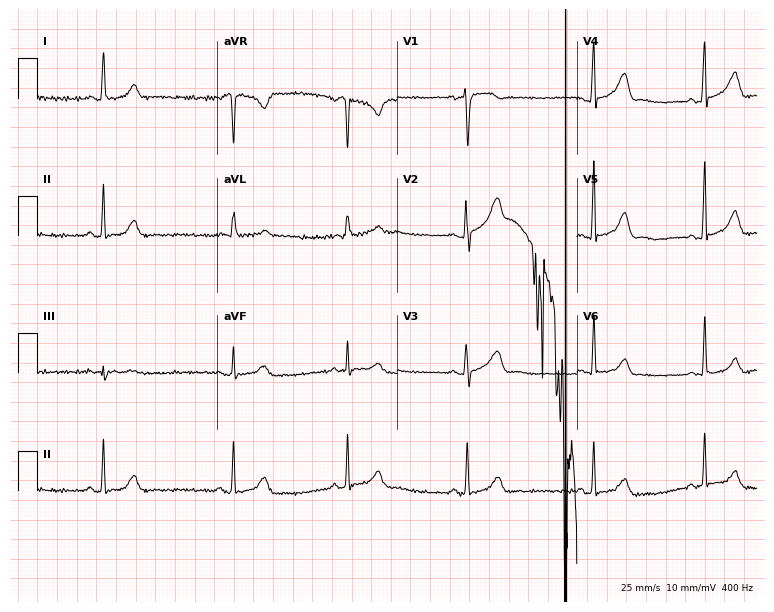
12-lead ECG from a 17-year-old woman (7.3-second recording at 400 Hz). No first-degree AV block, right bundle branch block (RBBB), left bundle branch block (LBBB), sinus bradycardia, atrial fibrillation (AF) or sinus tachycardia recorded for this tracing. Only these six findings were labelled.